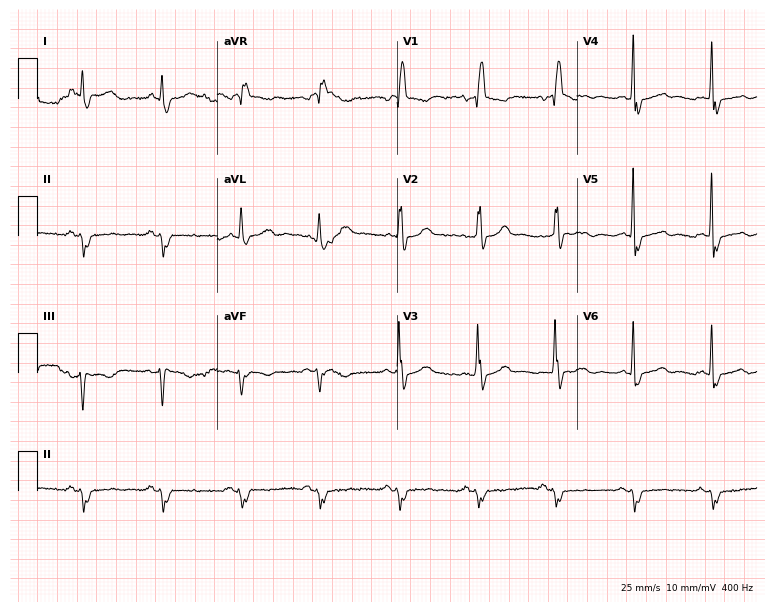
Standard 12-lead ECG recorded from a 78-year-old man (7.3-second recording at 400 Hz). The tracing shows right bundle branch block.